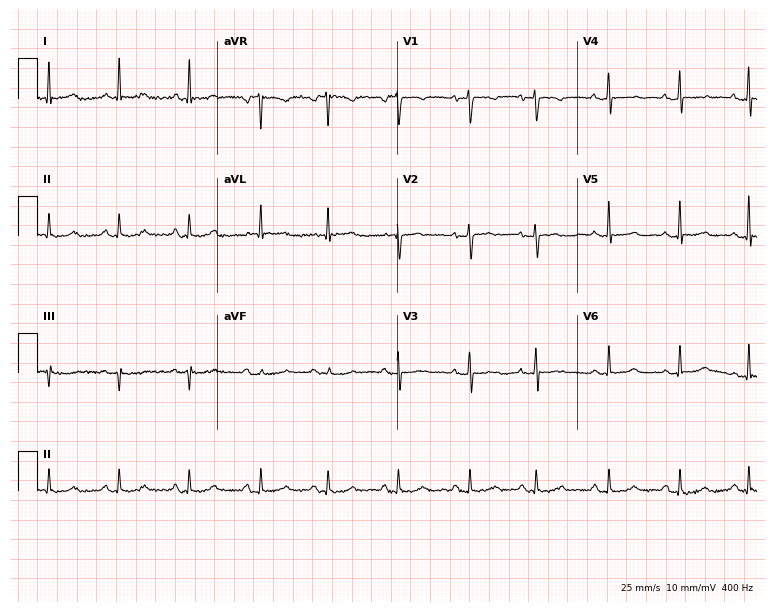
Resting 12-lead electrocardiogram. Patient: a female, 58 years old. None of these six findings is recorded: first-degree AV block, right bundle branch block, left bundle branch block, sinus bradycardia, atrial fibrillation, sinus tachycardia. Only these six findings were labelled.